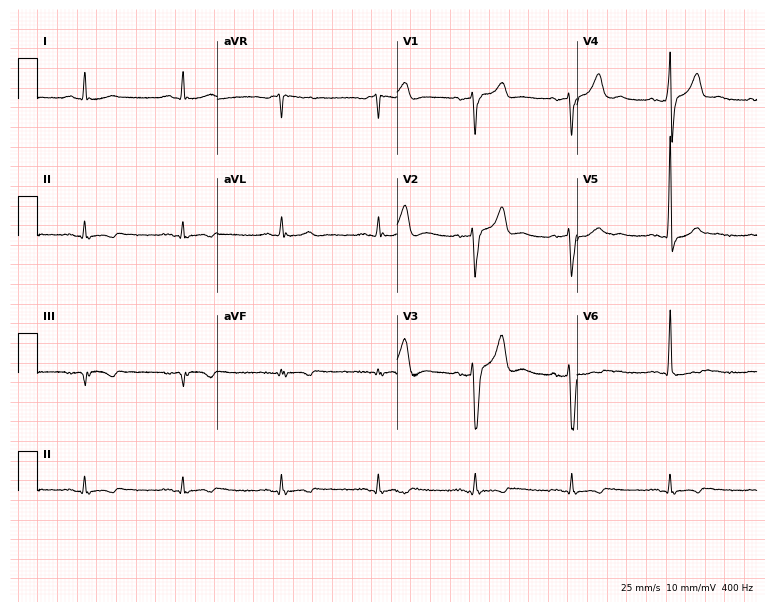
Electrocardiogram (7.3-second recording at 400 Hz), a male patient, 71 years old. Of the six screened findings (first-degree AV block, right bundle branch block, left bundle branch block, sinus bradycardia, atrial fibrillation, sinus tachycardia), none is recorded.